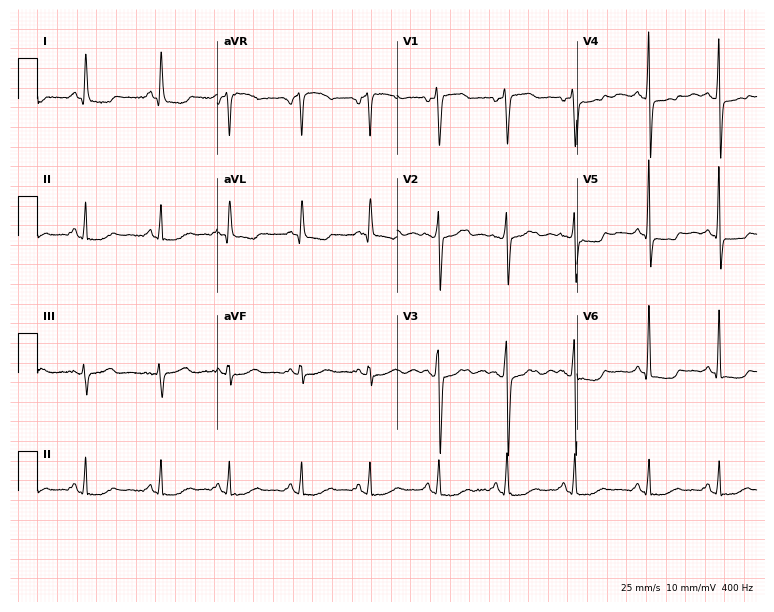
12-lead ECG from a 54-year-old female. No first-degree AV block, right bundle branch block (RBBB), left bundle branch block (LBBB), sinus bradycardia, atrial fibrillation (AF) or sinus tachycardia recorded for this tracing.